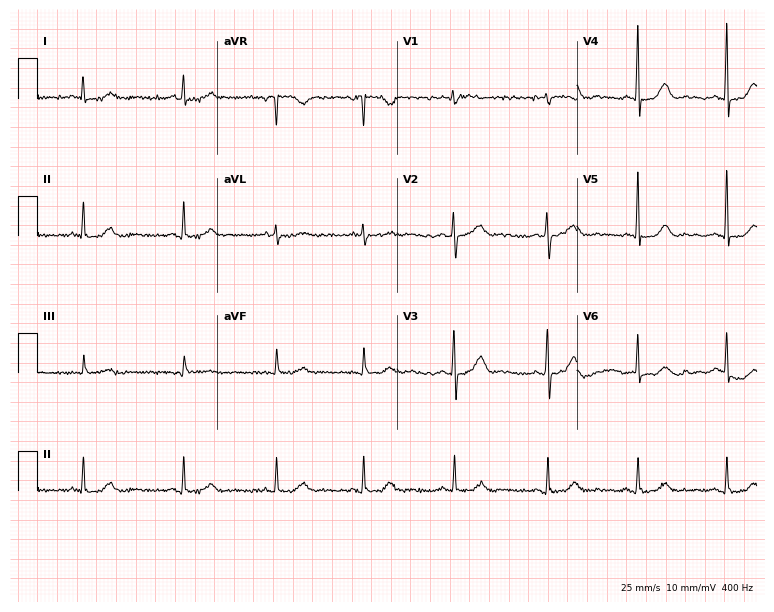
Resting 12-lead electrocardiogram. Patient: a female, 82 years old. Read as a normal ECG.